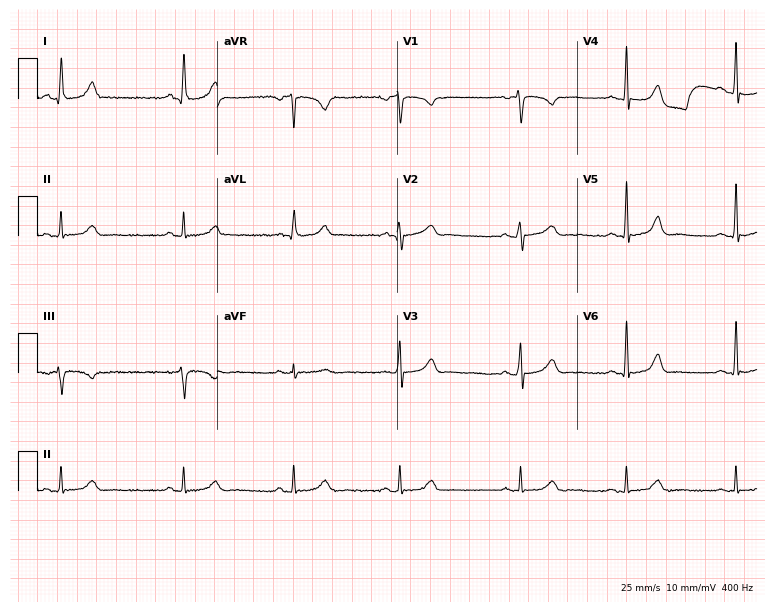
ECG (7.3-second recording at 400 Hz) — a woman, 45 years old. Labelled as a normal ECG.